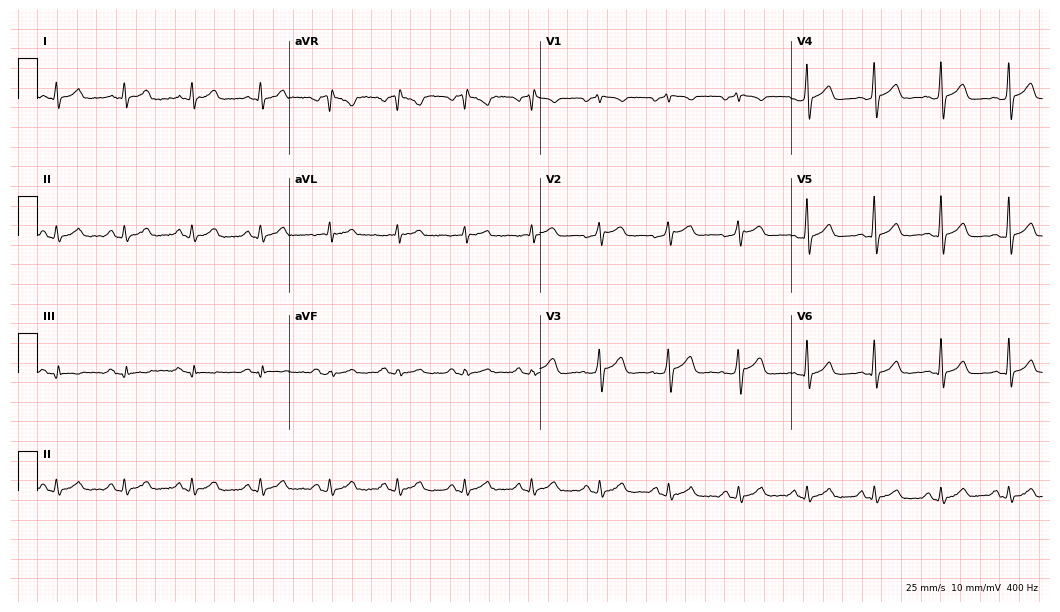
Standard 12-lead ECG recorded from a 47-year-old male patient. None of these six findings is recorded: first-degree AV block, right bundle branch block, left bundle branch block, sinus bradycardia, atrial fibrillation, sinus tachycardia.